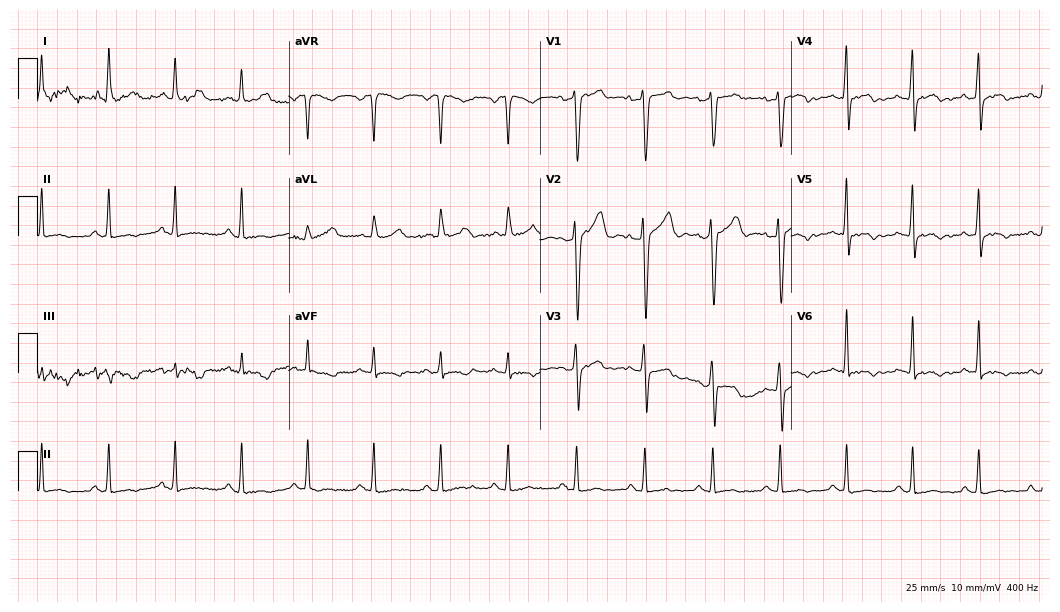
12-lead ECG (10.2-second recording at 400 Hz) from a woman, 60 years old. Screened for six findings — first-degree AV block, right bundle branch block, left bundle branch block, sinus bradycardia, atrial fibrillation, sinus tachycardia — none is recorded. Only these six findings were labelled.